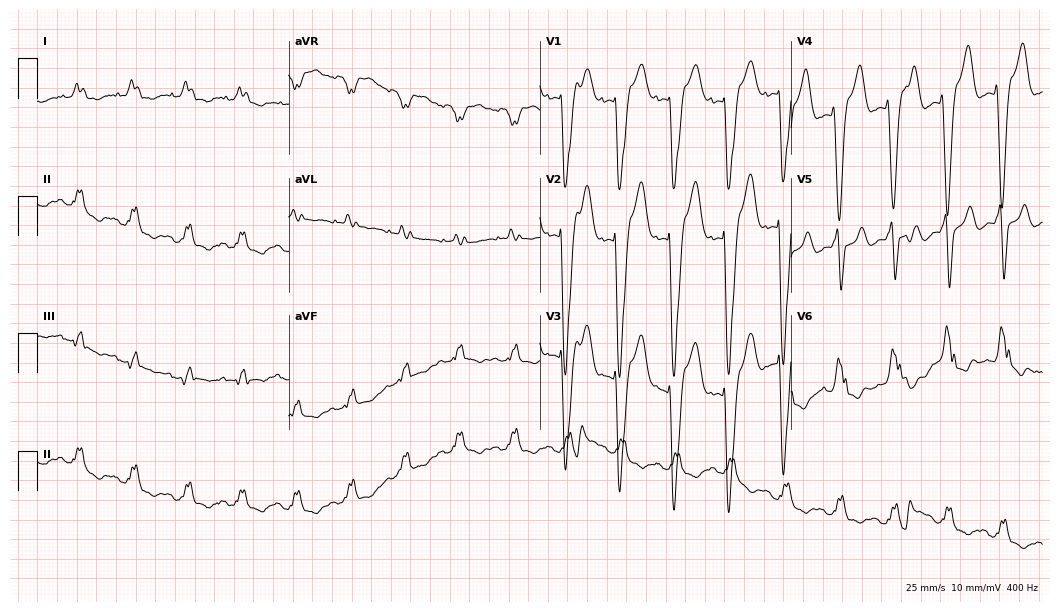
Resting 12-lead electrocardiogram. Patient: a female, 82 years old. The tracing shows left bundle branch block (LBBB), sinus tachycardia (a sinus rate of 100 beats per minute or more).